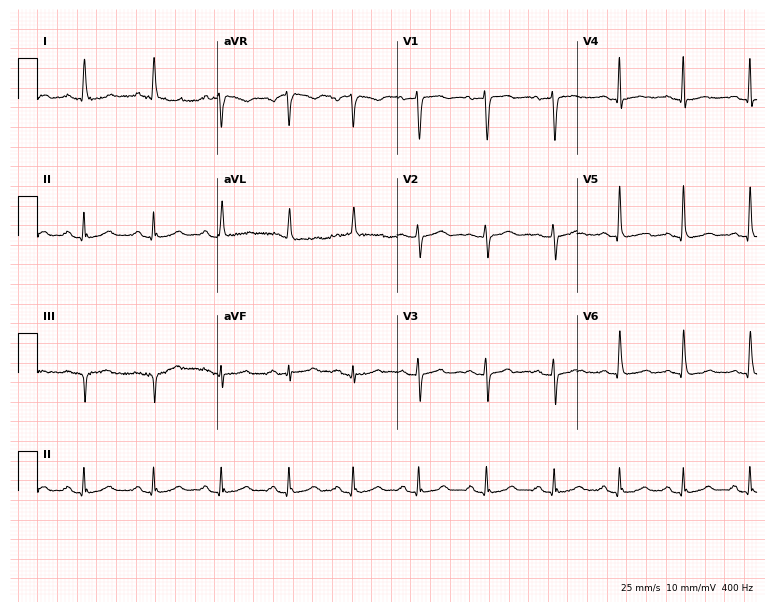
12-lead ECG from a woman, 78 years old. Screened for six findings — first-degree AV block, right bundle branch block, left bundle branch block, sinus bradycardia, atrial fibrillation, sinus tachycardia — none is recorded. Other findings, if any, are not listed.